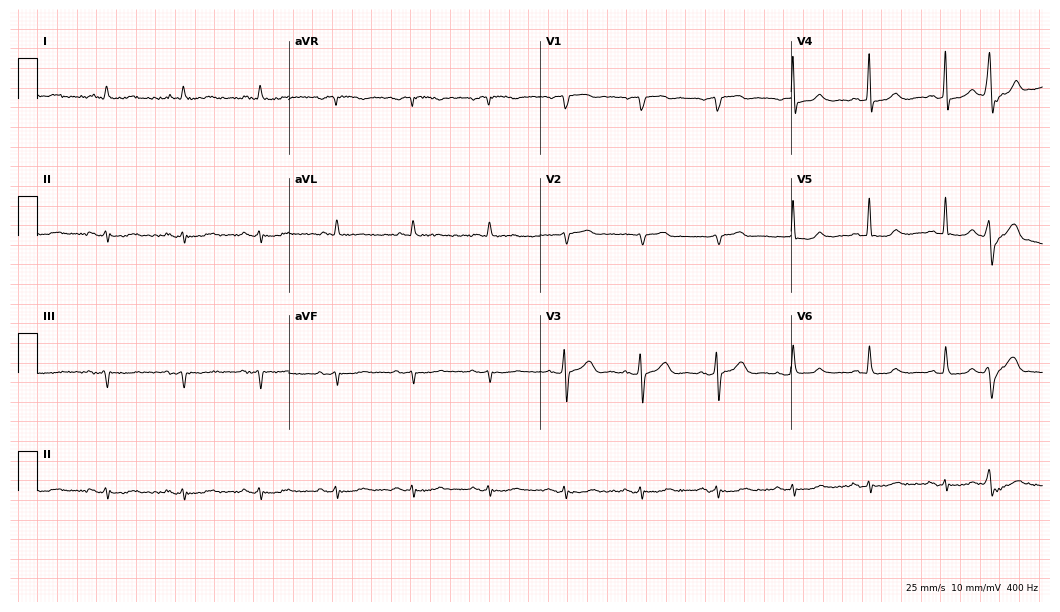
Resting 12-lead electrocardiogram. Patient: a 63-year-old woman. None of these six findings is recorded: first-degree AV block, right bundle branch block (RBBB), left bundle branch block (LBBB), sinus bradycardia, atrial fibrillation (AF), sinus tachycardia.